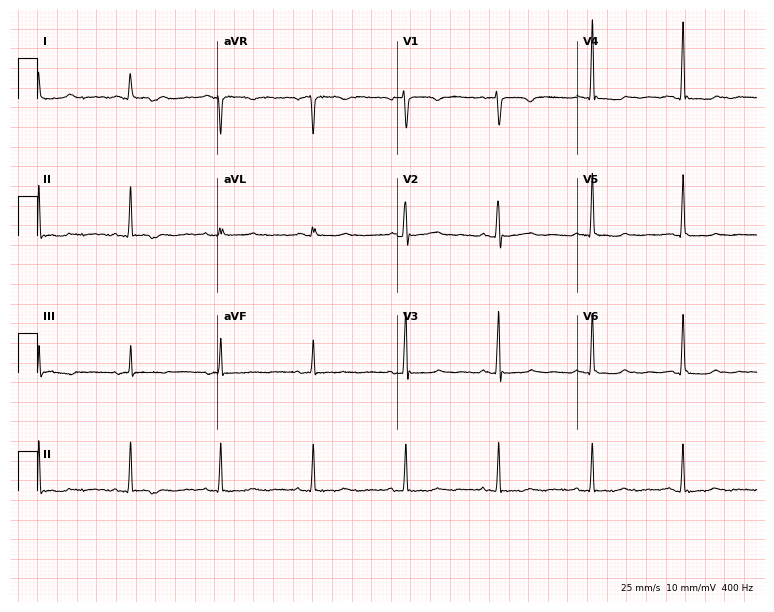
ECG — a 66-year-old woman. Screened for six findings — first-degree AV block, right bundle branch block, left bundle branch block, sinus bradycardia, atrial fibrillation, sinus tachycardia — none is recorded.